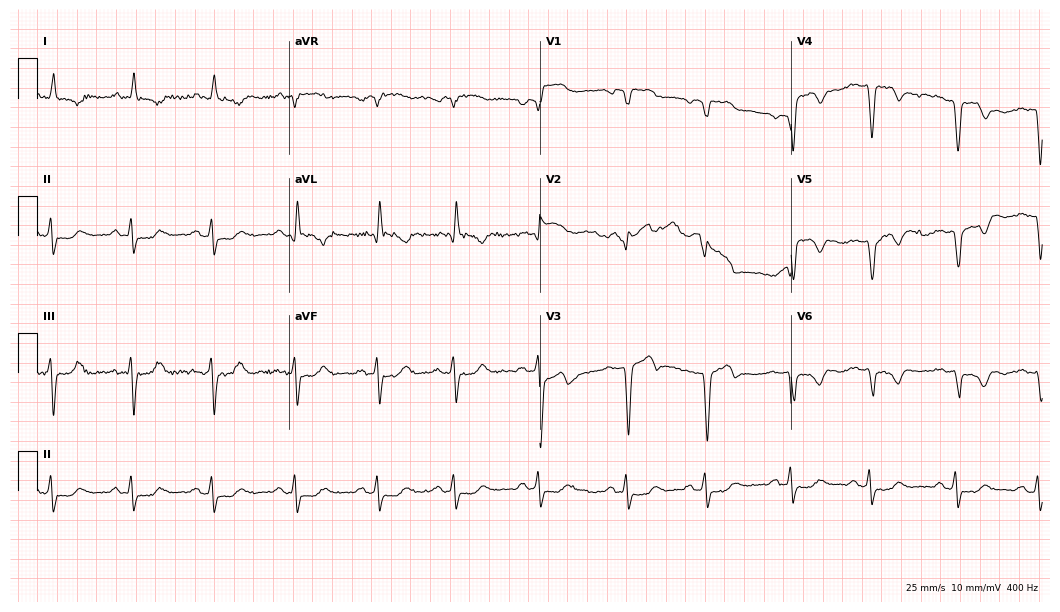
Electrocardiogram (10.2-second recording at 400 Hz), a male, 76 years old. Of the six screened findings (first-degree AV block, right bundle branch block, left bundle branch block, sinus bradycardia, atrial fibrillation, sinus tachycardia), none is recorded.